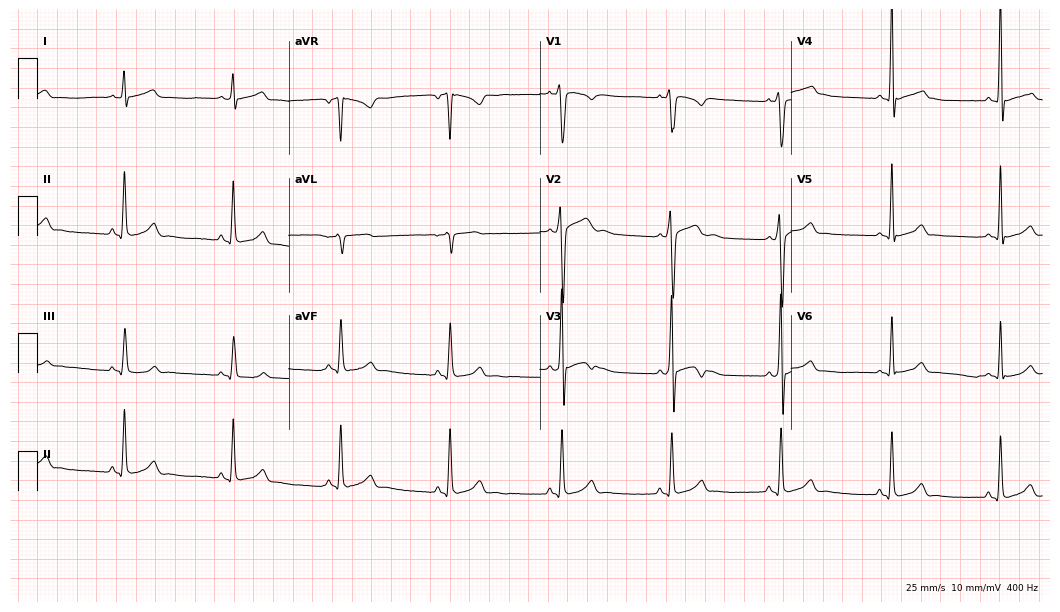
12-lead ECG from a 17-year-old male patient. Recorded interpretation: within normal limits.